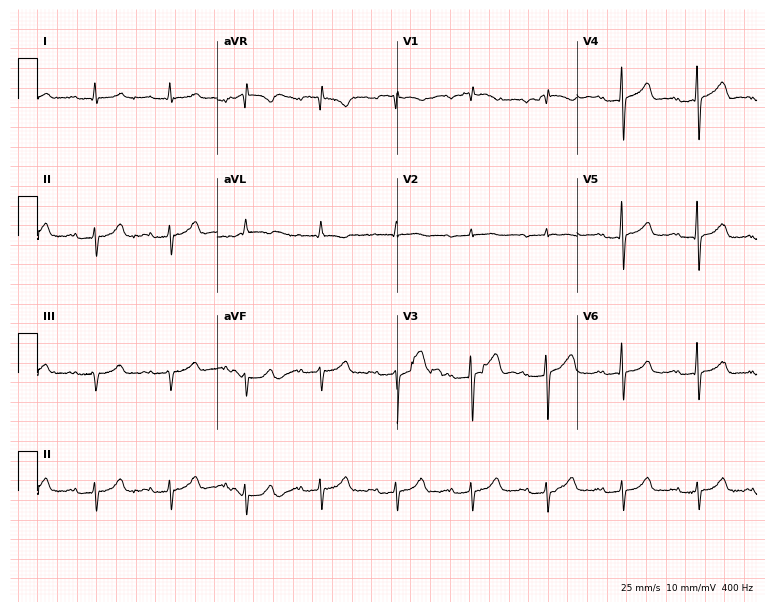
12-lead ECG from a 79-year-old male patient. Findings include first-degree AV block.